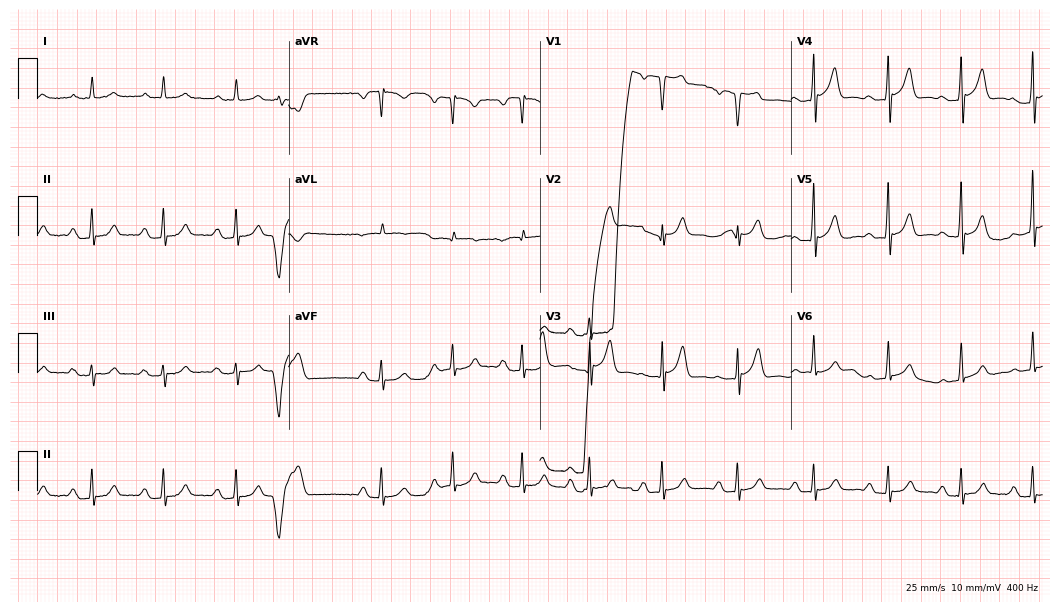
ECG — a 40-year-old man. Screened for six findings — first-degree AV block, right bundle branch block, left bundle branch block, sinus bradycardia, atrial fibrillation, sinus tachycardia — none is recorded.